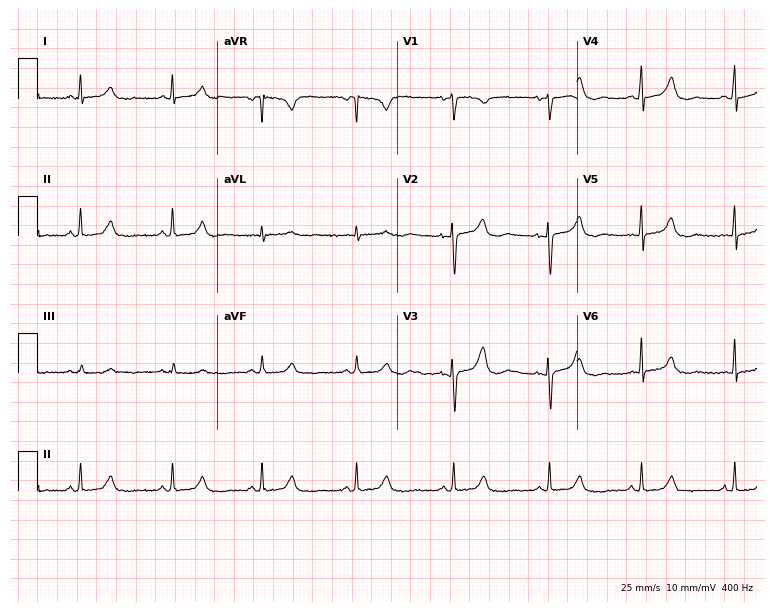
Resting 12-lead electrocardiogram (7.3-second recording at 400 Hz). Patient: a 32-year-old female. None of these six findings is recorded: first-degree AV block, right bundle branch block (RBBB), left bundle branch block (LBBB), sinus bradycardia, atrial fibrillation (AF), sinus tachycardia.